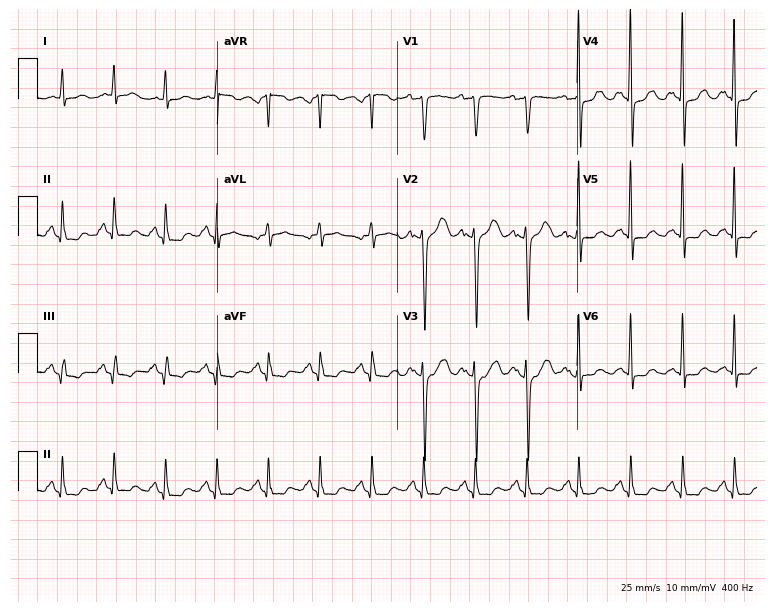
12-lead ECG from a 46-year-old woman. Screened for six findings — first-degree AV block, right bundle branch block (RBBB), left bundle branch block (LBBB), sinus bradycardia, atrial fibrillation (AF), sinus tachycardia — none is recorded.